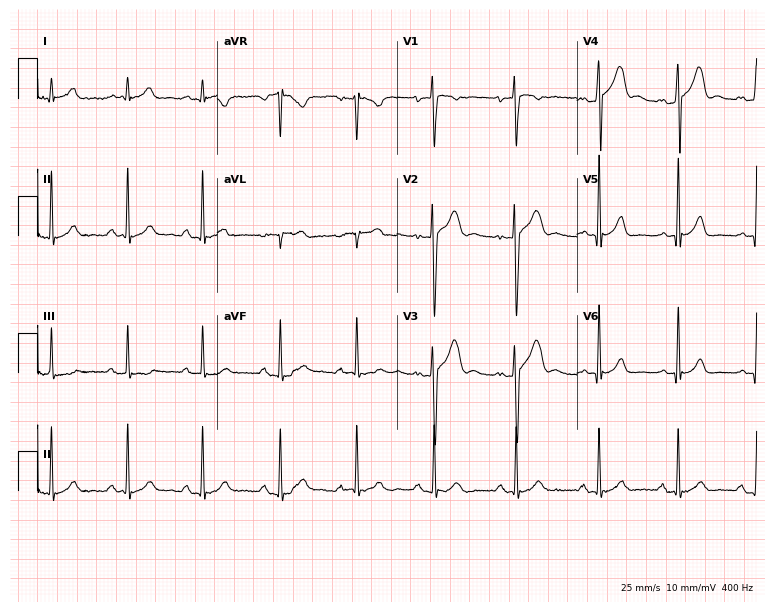
12-lead ECG (7.3-second recording at 400 Hz) from a man, 19 years old. Labelled as a normal ECG.